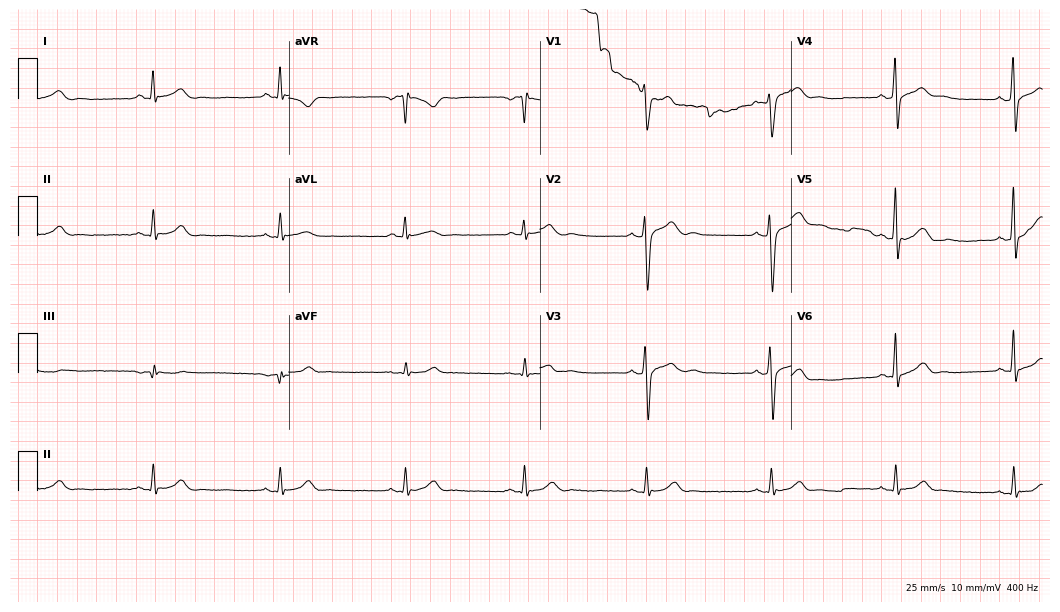
Resting 12-lead electrocardiogram. Patient: a man, 35 years old. The tracing shows sinus bradycardia (a sinus rate of 50 beats per minute or less).